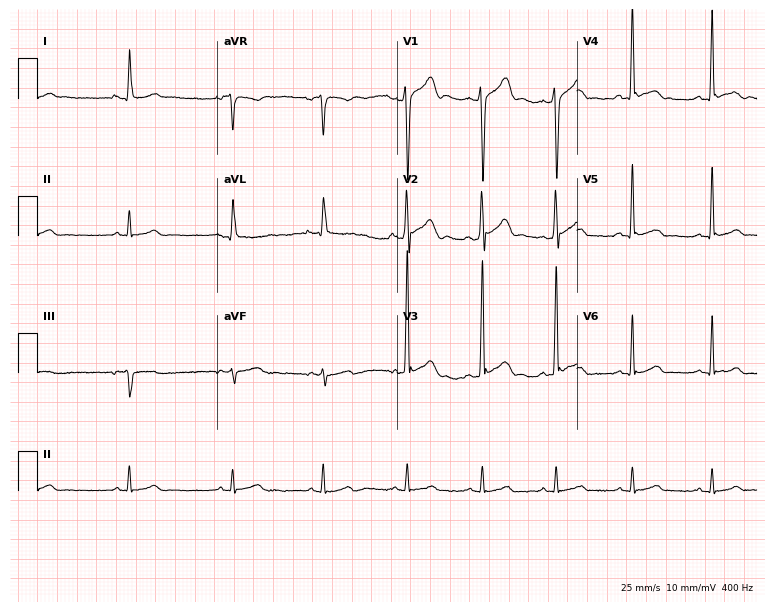
Resting 12-lead electrocardiogram. Patient: a 19-year-old male. None of these six findings is recorded: first-degree AV block, right bundle branch block, left bundle branch block, sinus bradycardia, atrial fibrillation, sinus tachycardia.